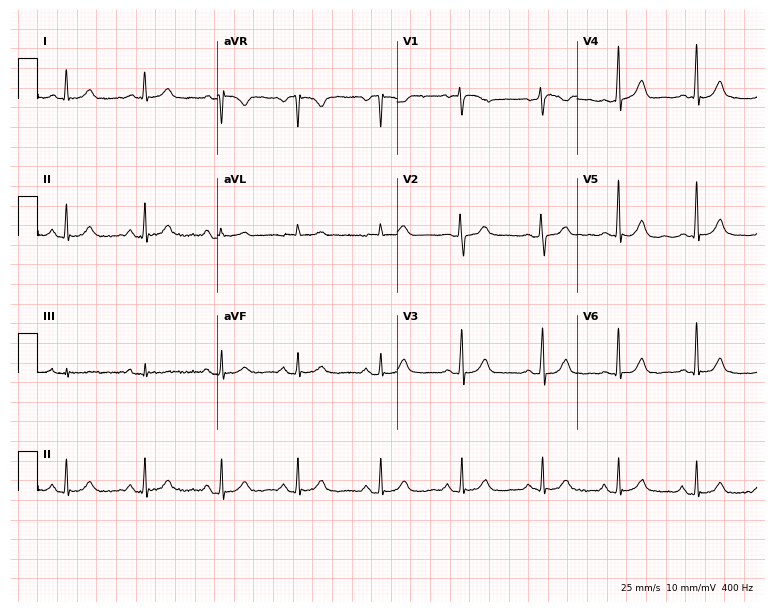
12-lead ECG from a 54-year-old woman. Recorded interpretation: within normal limits.